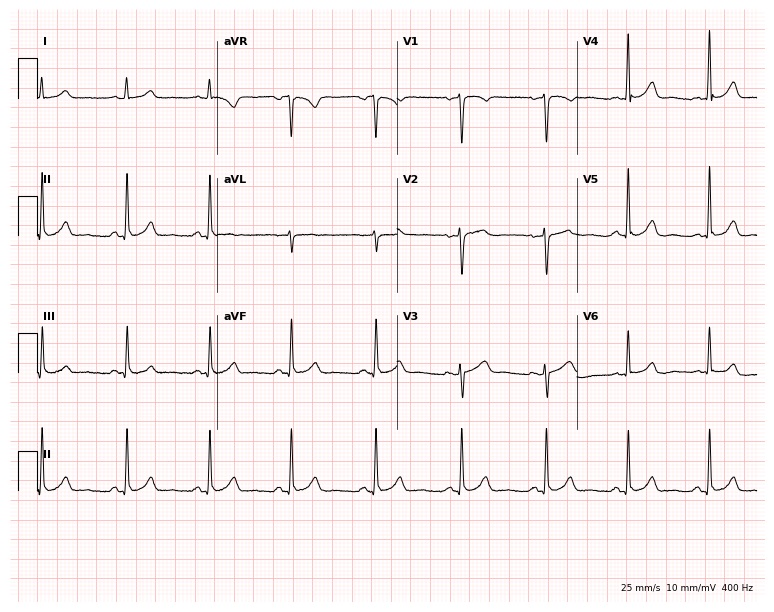
ECG — a female, 36 years old. Labelled as a normal ECG.